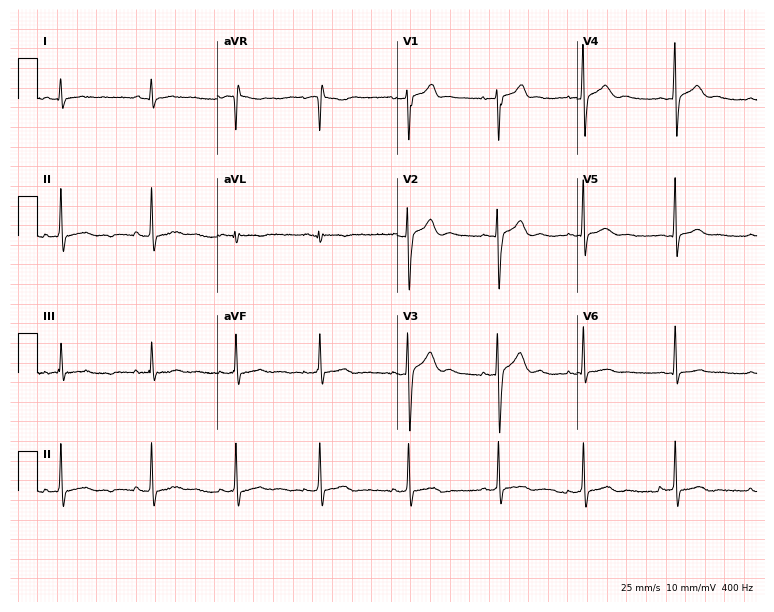
12-lead ECG (7.3-second recording at 400 Hz) from a male patient, 26 years old. Labelled as a normal ECG.